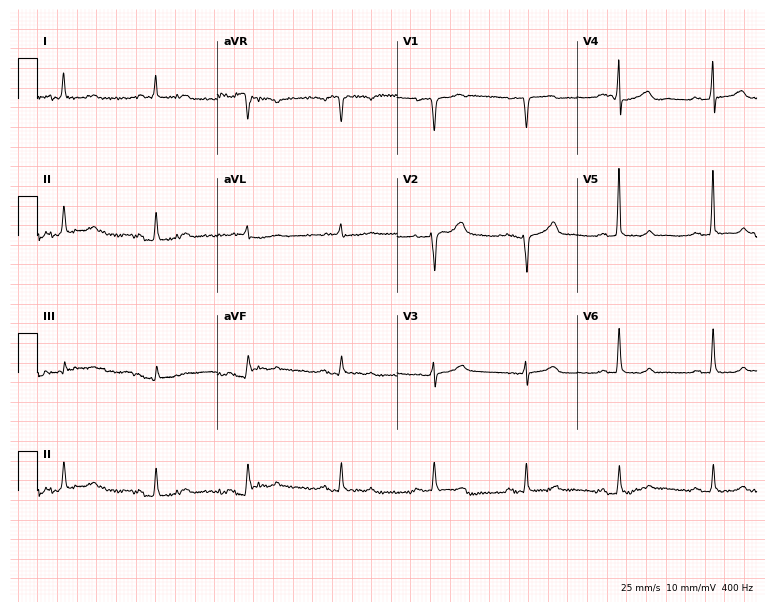
ECG — a female patient, 80 years old. Screened for six findings — first-degree AV block, right bundle branch block, left bundle branch block, sinus bradycardia, atrial fibrillation, sinus tachycardia — none is recorded.